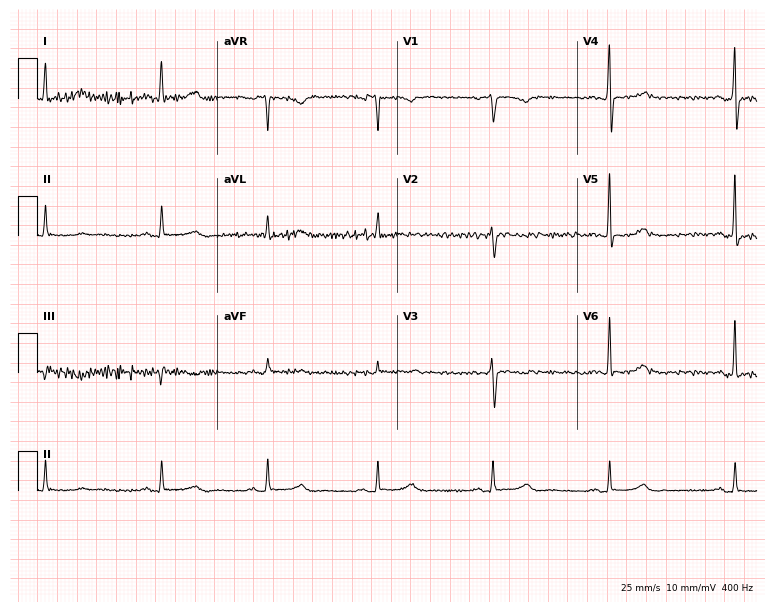
Electrocardiogram, a female, 61 years old. Of the six screened findings (first-degree AV block, right bundle branch block (RBBB), left bundle branch block (LBBB), sinus bradycardia, atrial fibrillation (AF), sinus tachycardia), none is recorded.